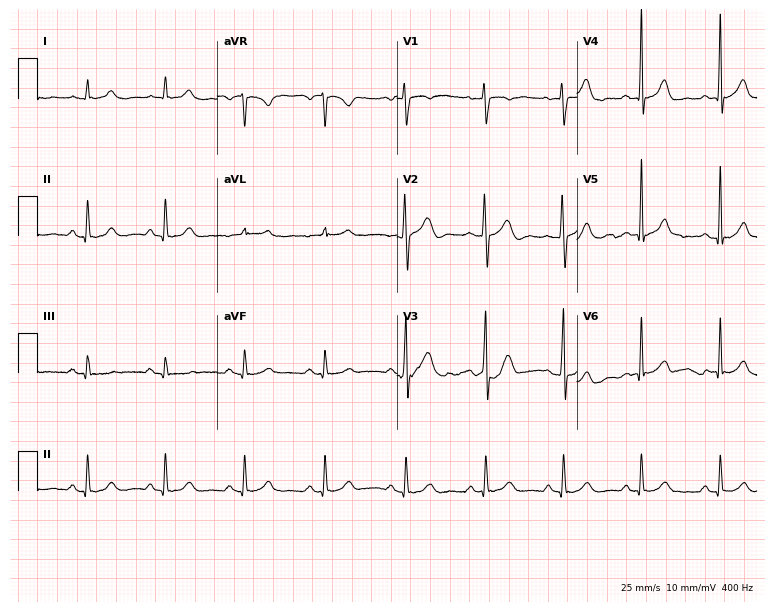
Electrocardiogram, a male patient, 56 years old. Overall reading on record: normal ECG.